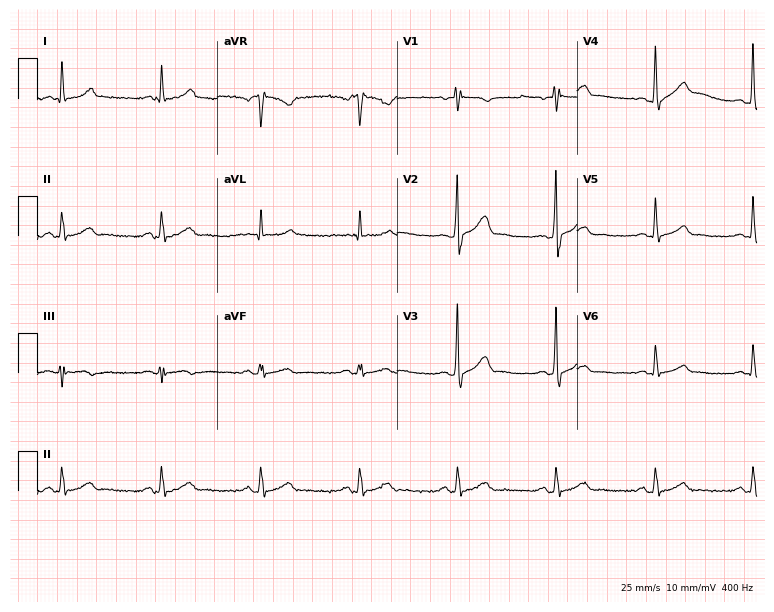
Electrocardiogram (7.3-second recording at 400 Hz), a 61-year-old male. Overall reading on record: normal ECG.